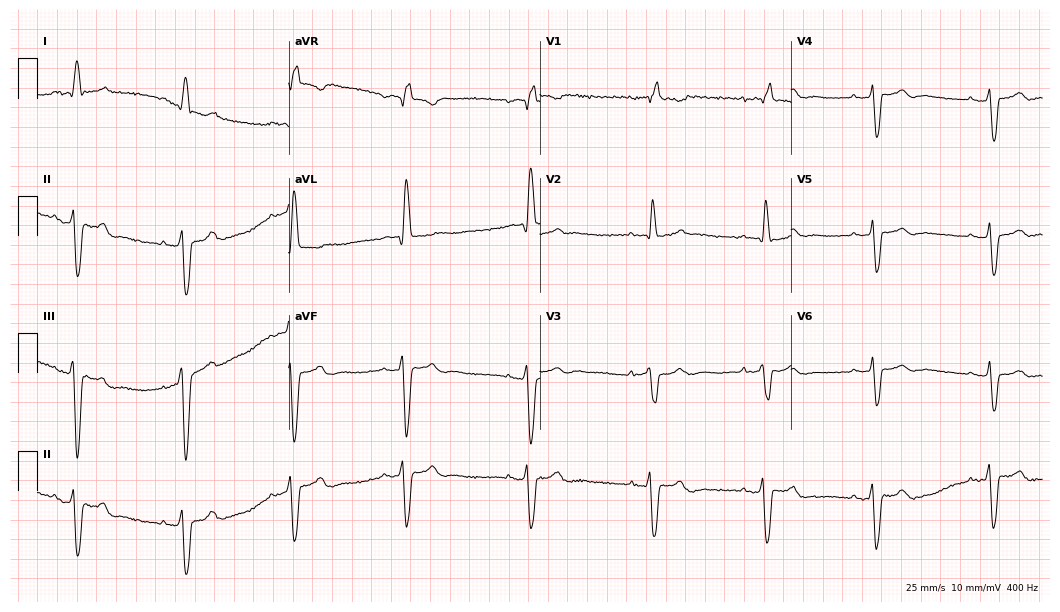
Standard 12-lead ECG recorded from an 82-year-old male (10.2-second recording at 400 Hz). The tracing shows right bundle branch block, left bundle branch block.